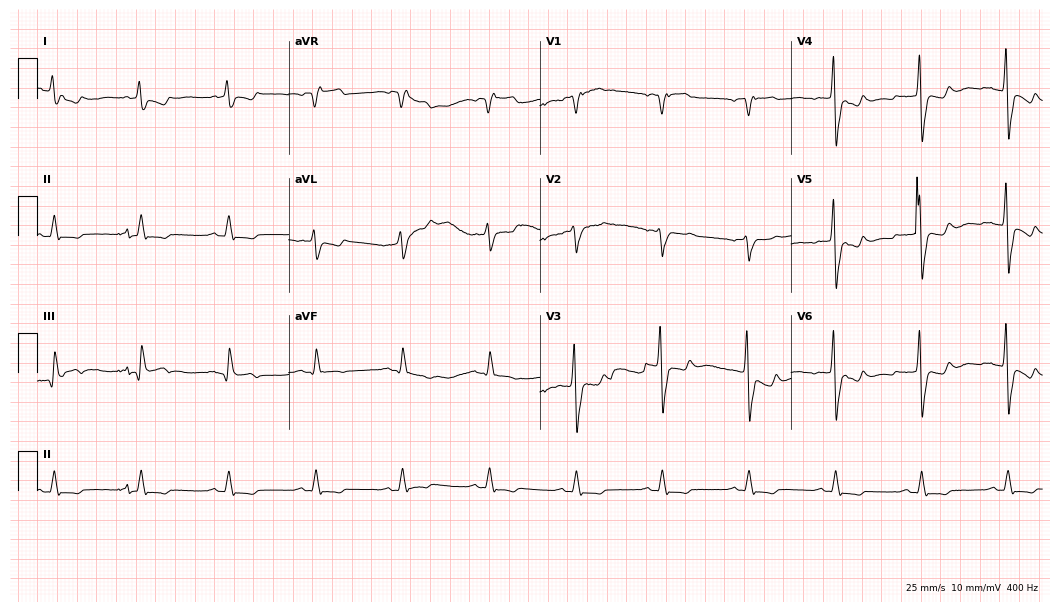
ECG — a man, 82 years old. Screened for six findings — first-degree AV block, right bundle branch block, left bundle branch block, sinus bradycardia, atrial fibrillation, sinus tachycardia — none is recorded. Findings outside these six are not listed.